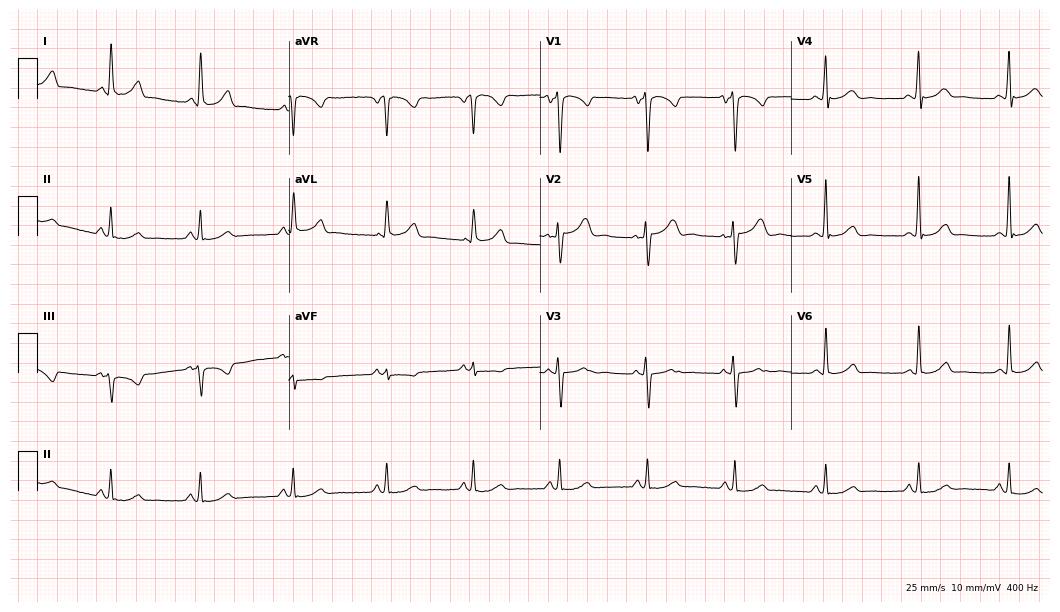
ECG (10.2-second recording at 400 Hz) — a man, 50 years old. Labelled as a normal ECG.